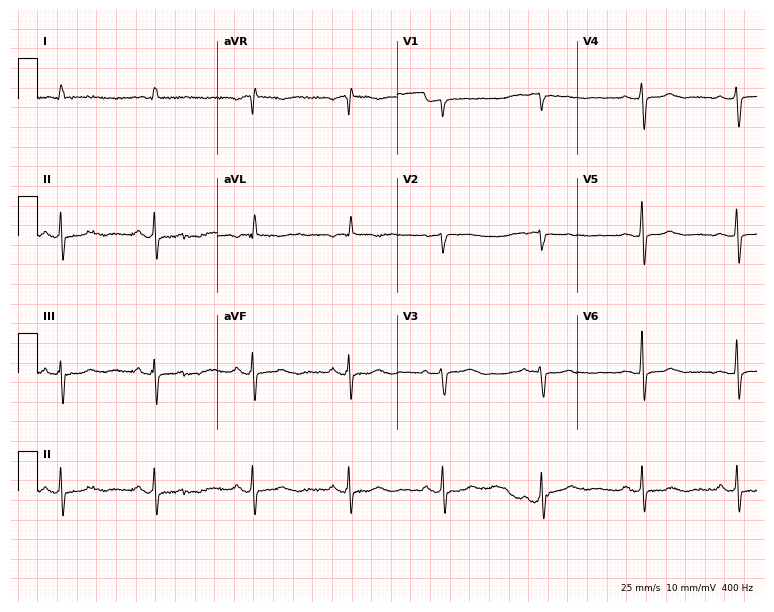
ECG (7.3-second recording at 400 Hz) — a 74-year-old female. Screened for six findings — first-degree AV block, right bundle branch block (RBBB), left bundle branch block (LBBB), sinus bradycardia, atrial fibrillation (AF), sinus tachycardia — none is recorded. Only these six findings were labelled.